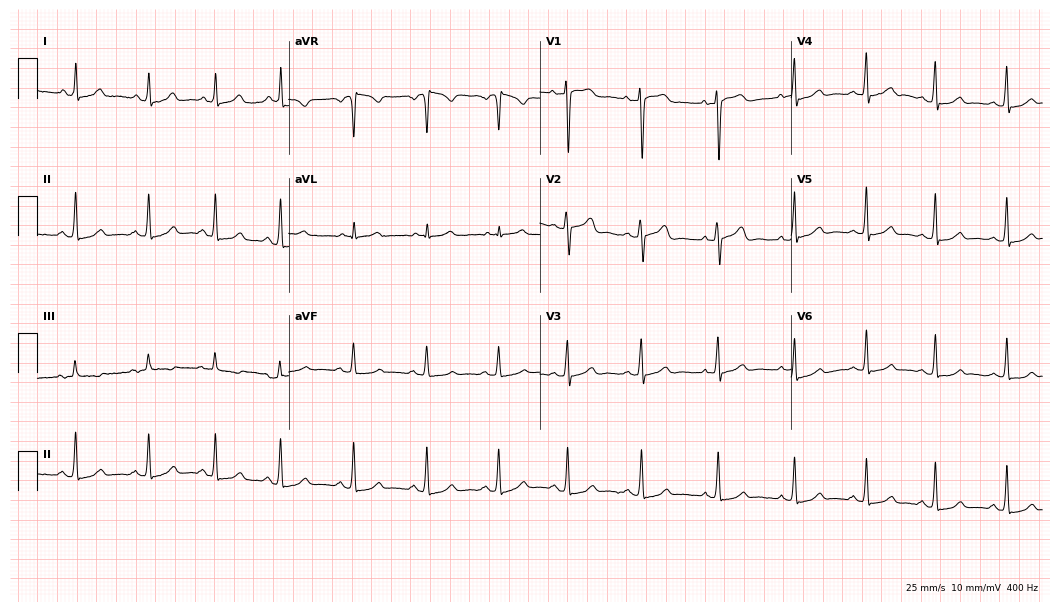
Resting 12-lead electrocardiogram. Patient: a 30-year-old woman. None of these six findings is recorded: first-degree AV block, right bundle branch block (RBBB), left bundle branch block (LBBB), sinus bradycardia, atrial fibrillation (AF), sinus tachycardia. Other findings, if any, are not listed.